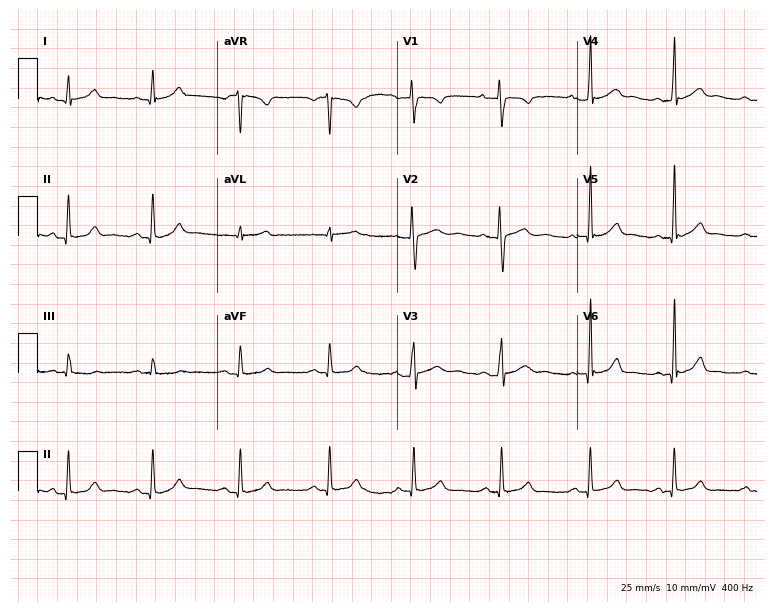
Electrocardiogram, a female, 32 years old. Overall reading on record: normal ECG.